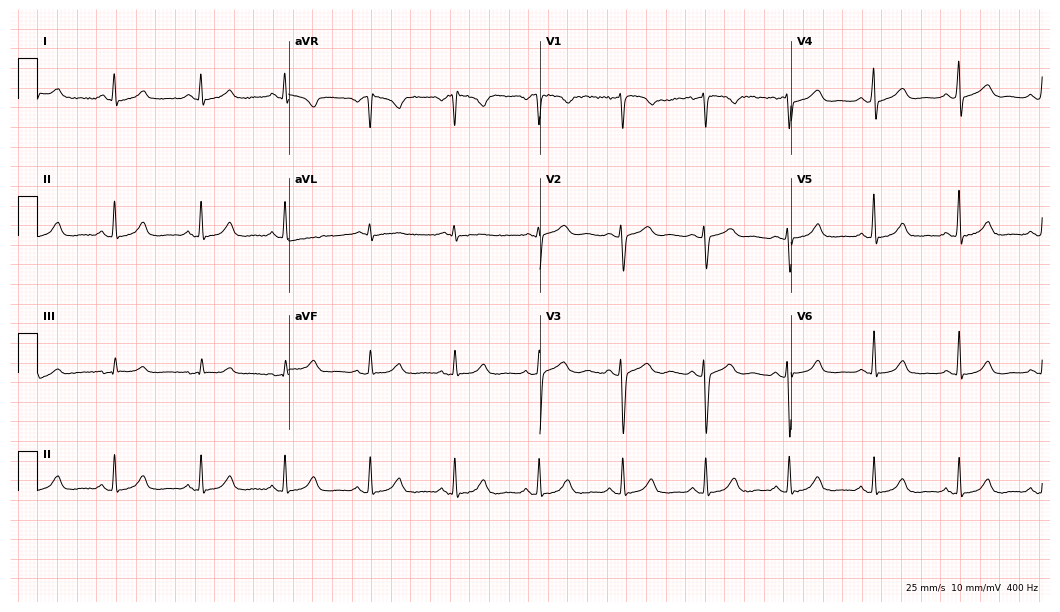
12-lead ECG from a woman, 45 years old (10.2-second recording at 400 Hz). Recorded interpretation: within normal limits.